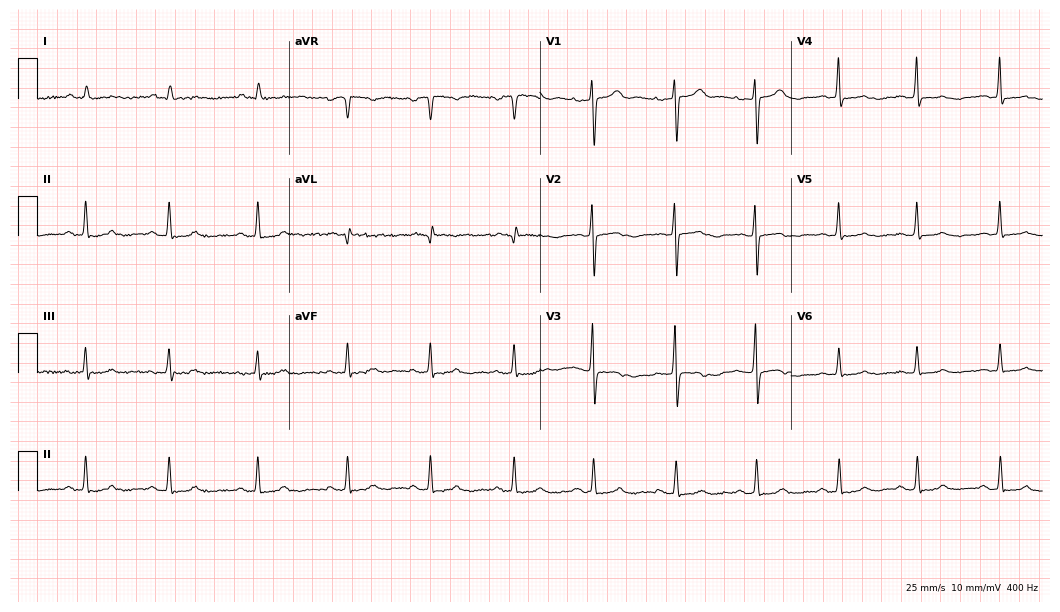
12-lead ECG from a 39-year-old woman. Recorded interpretation: within normal limits.